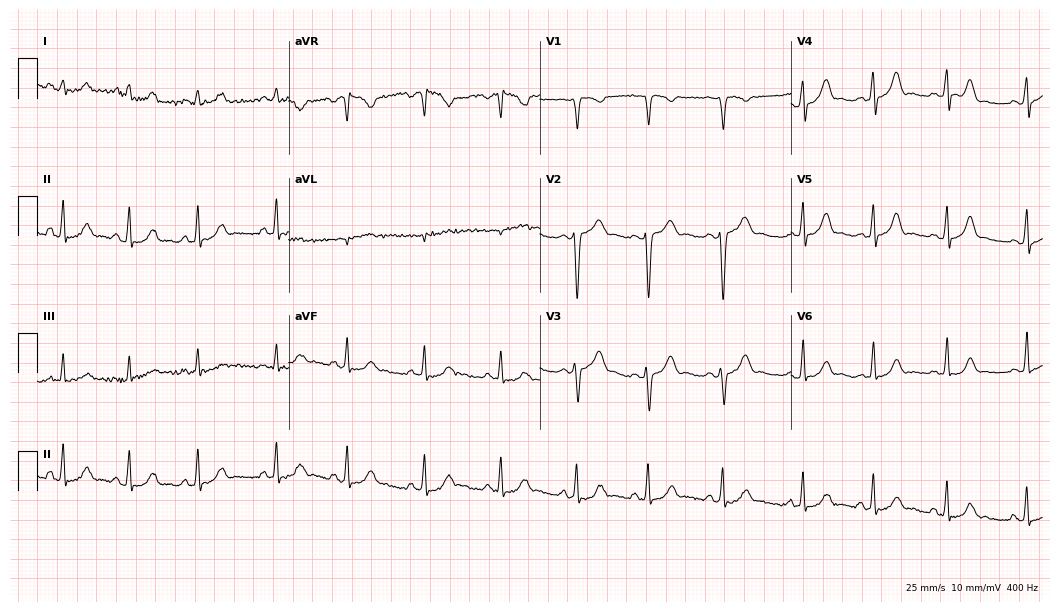
Resting 12-lead electrocardiogram. Patient: a female, 17 years old. None of these six findings is recorded: first-degree AV block, right bundle branch block (RBBB), left bundle branch block (LBBB), sinus bradycardia, atrial fibrillation (AF), sinus tachycardia.